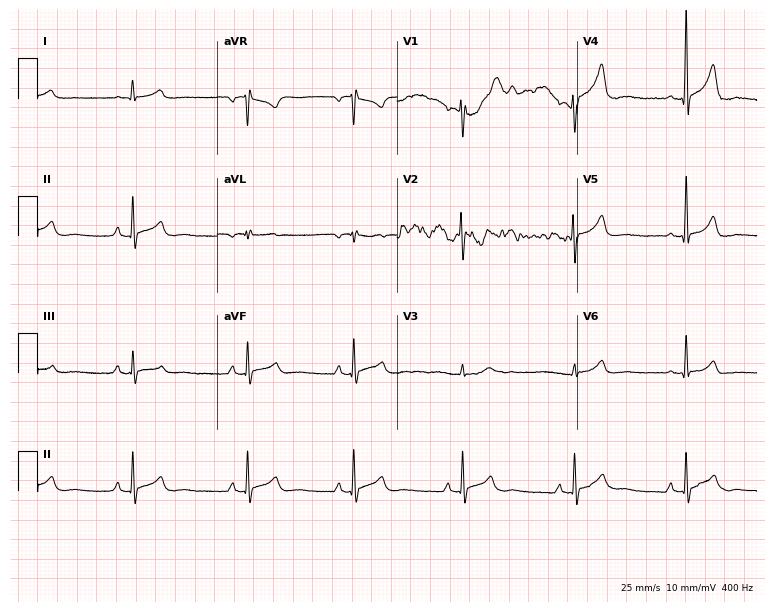
12-lead ECG from a male patient, 24 years old. Screened for six findings — first-degree AV block, right bundle branch block, left bundle branch block, sinus bradycardia, atrial fibrillation, sinus tachycardia — none is recorded. Other findings, if any, are not listed.